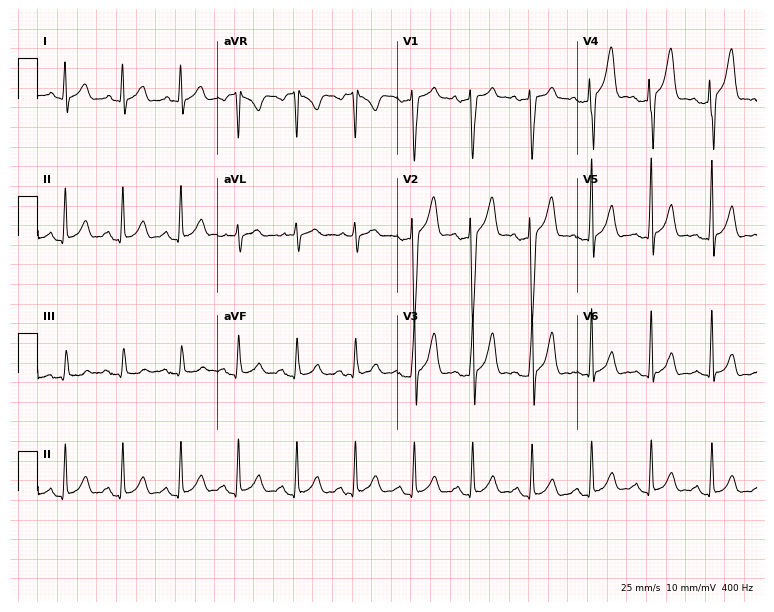
Electrocardiogram, a 33-year-old male patient. Overall reading on record: normal ECG.